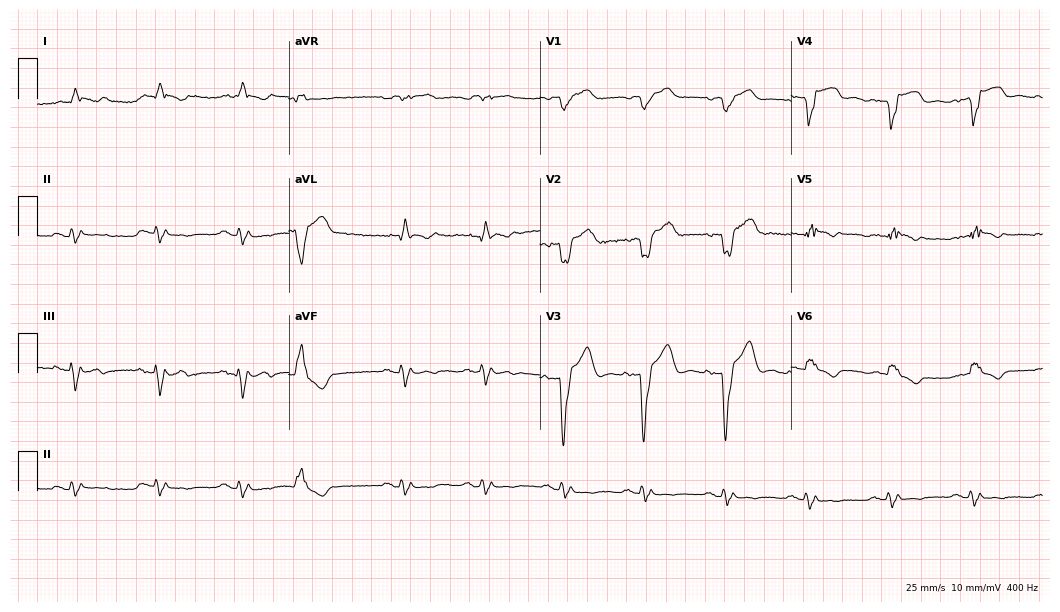
Standard 12-lead ECG recorded from a 69-year-old male patient (10.2-second recording at 400 Hz). None of these six findings is recorded: first-degree AV block, right bundle branch block (RBBB), left bundle branch block (LBBB), sinus bradycardia, atrial fibrillation (AF), sinus tachycardia. Only these six findings were labelled.